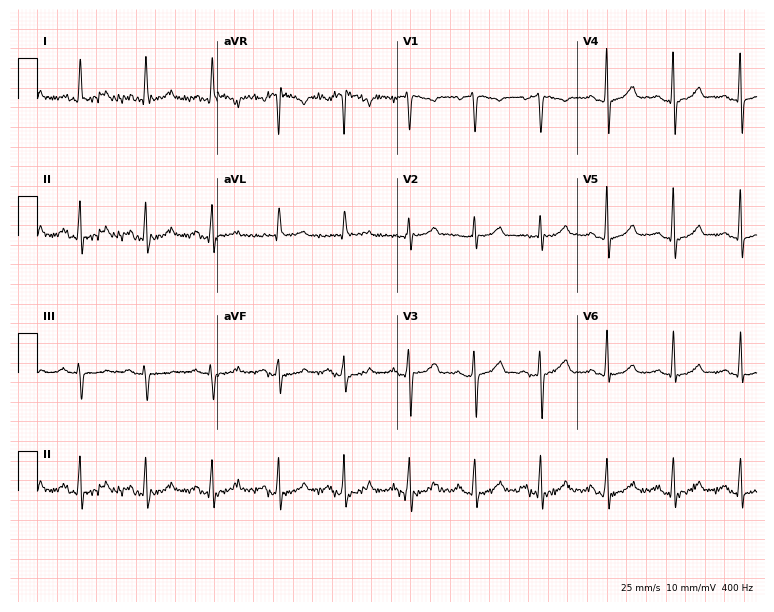
Resting 12-lead electrocardiogram. Patient: a woman, 61 years old. Read as a normal ECG.